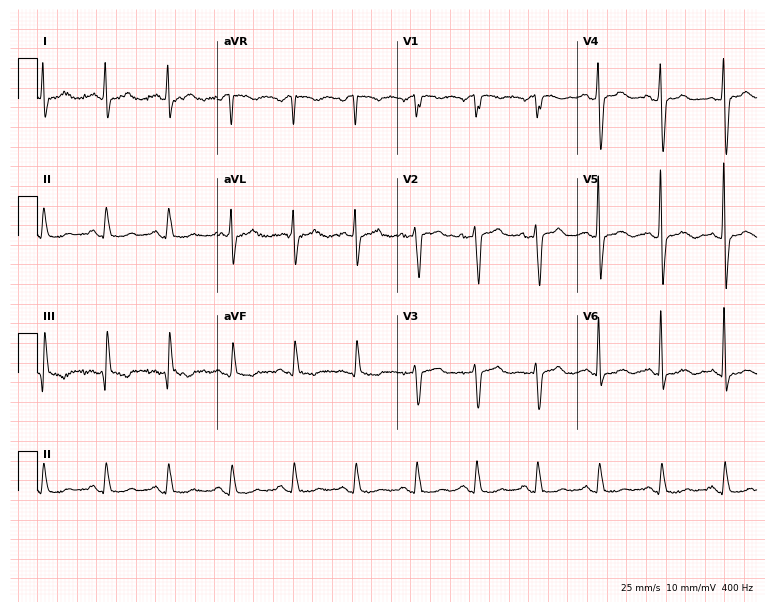
Standard 12-lead ECG recorded from a 48-year-old man (7.3-second recording at 400 Hz). None of these six findings is recorded: first-degree AV block, right bundle branch block, left bundle branch block, sinus bradycardia, atrial fibrillation, sinus tachycardia. Findings outside these six are not listed.